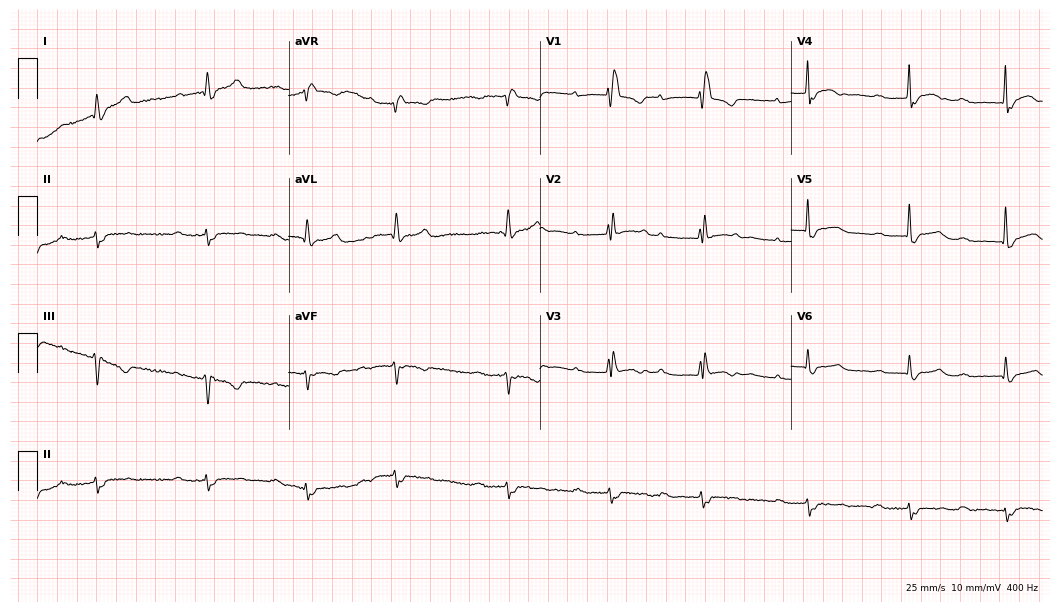
Standard 12-lead ECG recorded from a female, 76 years old. None of these six findings is recorded: first-degree AV block, right bundle branch block, left bundle branch block, sinus bradycardia, atrial fibrillation, sinus tachycardia.